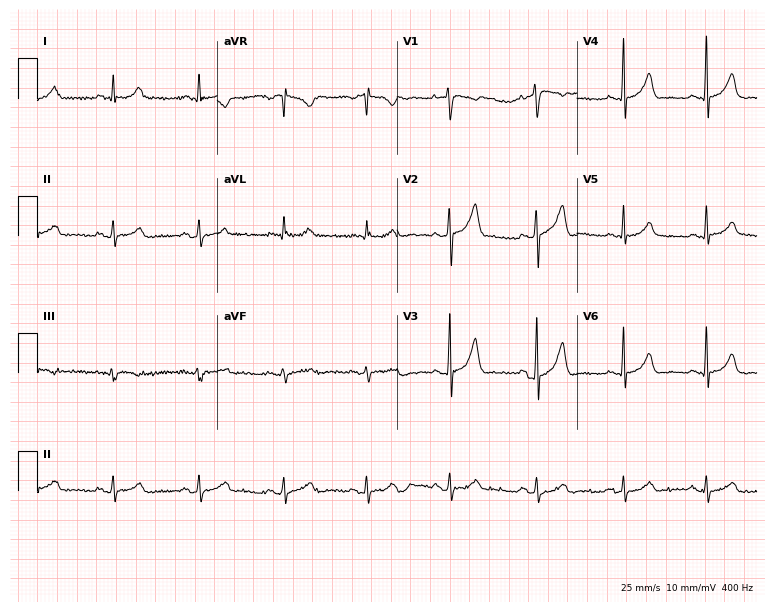
Standard 12-lead ECG recorded from a 37-year-old woman. Read as a normal ECG.